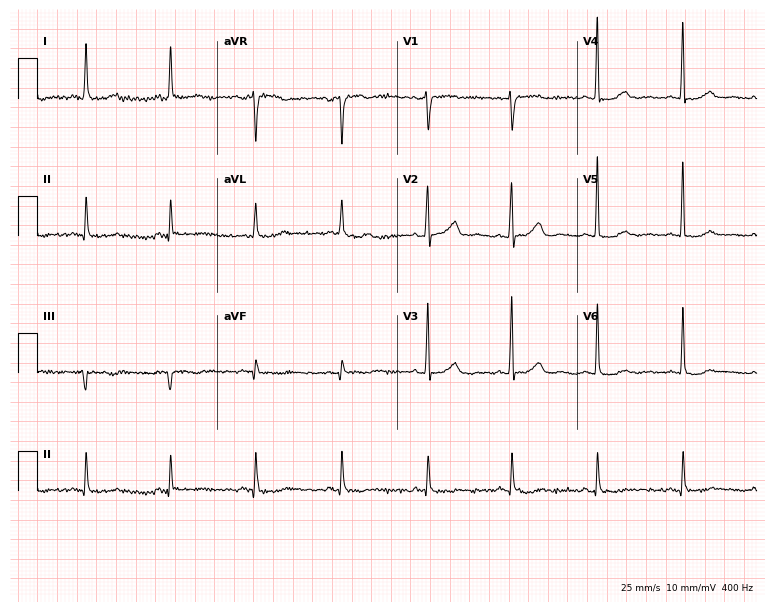
Resting 12-lead electrocardiogram. Patient: a female, 68 years old. None of these six findings is recorded: first-degree AV block, right bundle branch block, left bundle branch block, sinus bradycardia, atrial fibrillation, sinus tachycardia.